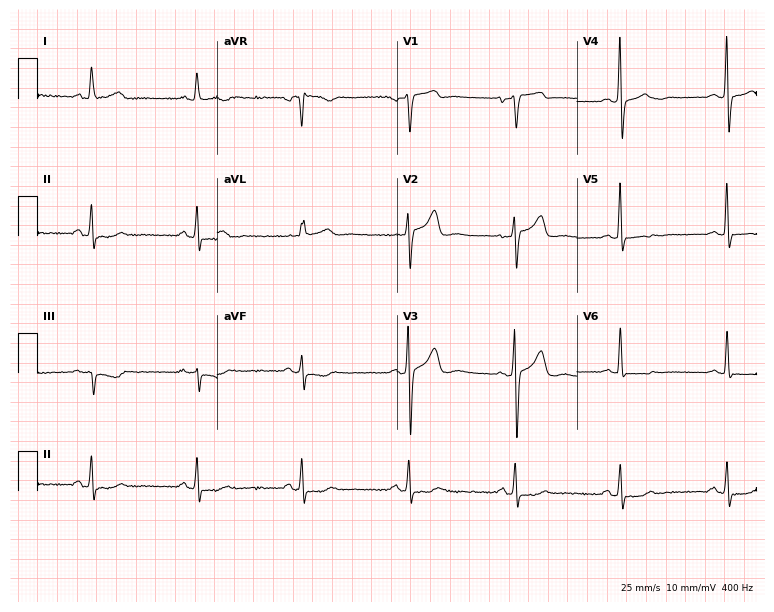
12-lead ECG from a female, 66 years old. Screened for six findings — first-degree AV block, right bundle branch block (RBBB), left bundle branch block (LBBB), sinus bradycardia, atrial fibrillation (AF), sinus tachycardia — none is recorded. Only these six findings were labelled.